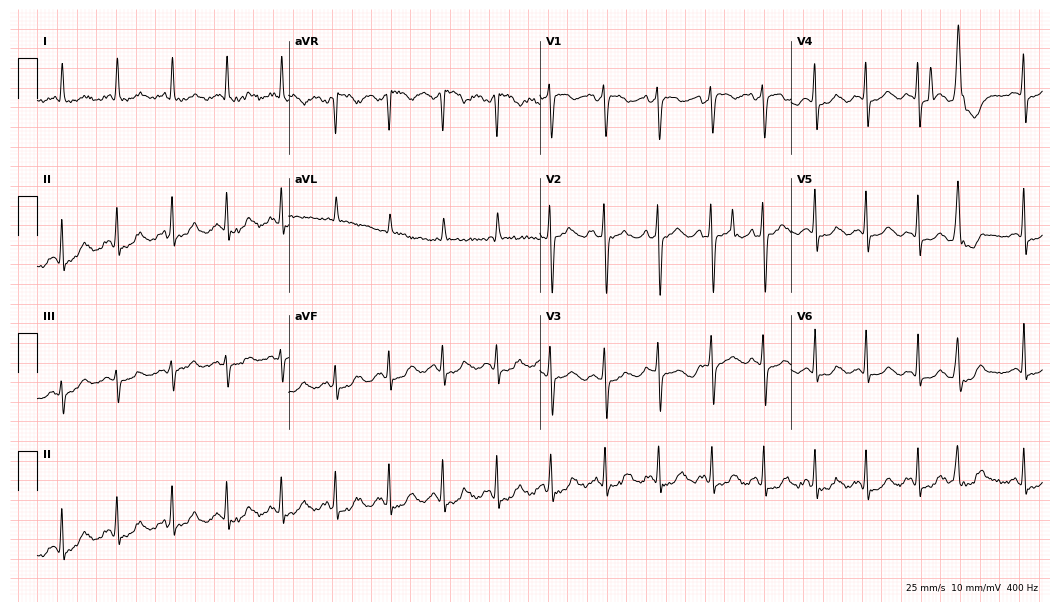
Standard 12-lead ECG recorded from a female patient, 59 years old. The tracing shows sinus tachycardia (a sinus rate of 100 beats per minute or more).